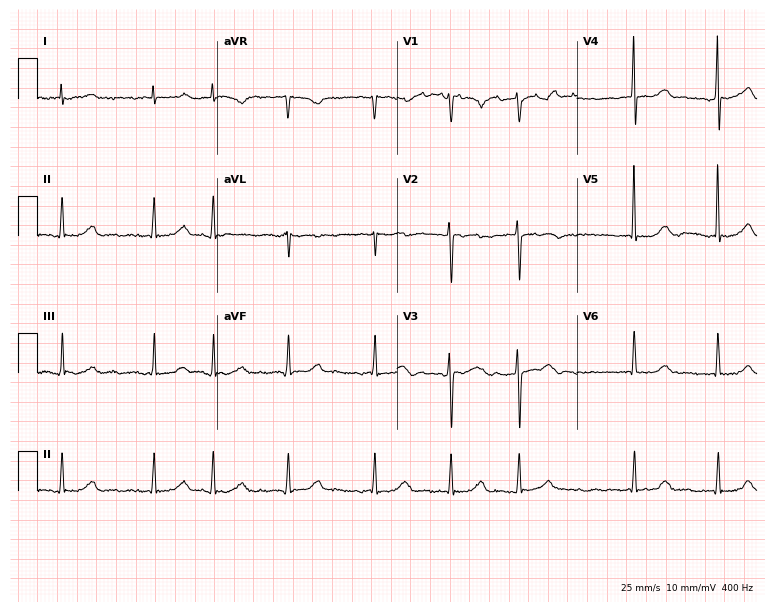
Standard 12-lead ECG recorded from a female, 74 years old (7.3-second recording at 400 Hz). The tracing shows atrial fibrillation (AF).